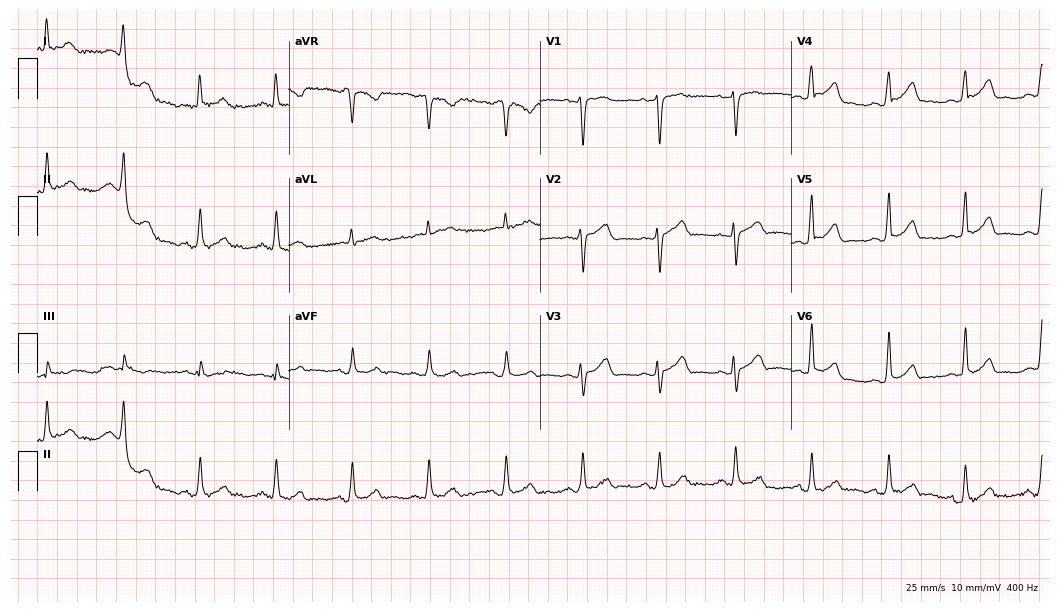
Standard 12-lead ECG recorded from a 54-year-old female patient (10.2-second recording at 400 Hz). None of these six findings is recorded: first-degree AV block, right bundle branch block (RBBB), left bundle branch block (LBBB), sinus bradycardia, atrial fibrillation (AF), sinus tachycardia.